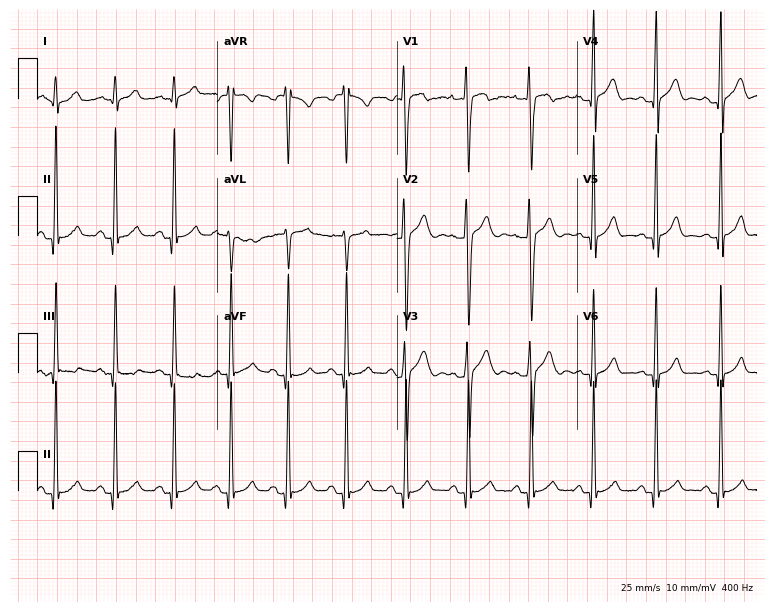
Standard 12-lead ECG recorded from a 22-year-old male. None of these six findings is recorded: first-degree AV block, right bundle branch block, left bundle branch block, sinus bradycardia, atrial fibrillation, sinus tachycardia.